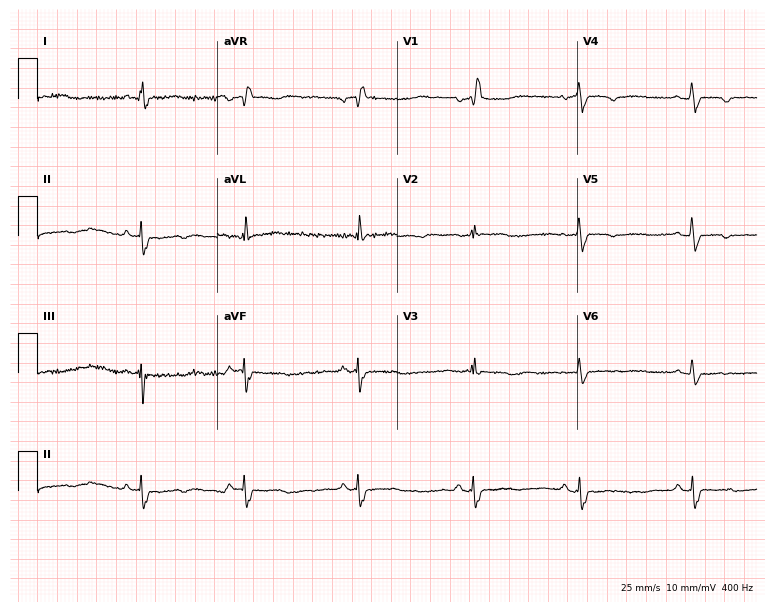
ECG — a female, 52 years old. Findings include right bundle branch block (RBBB).